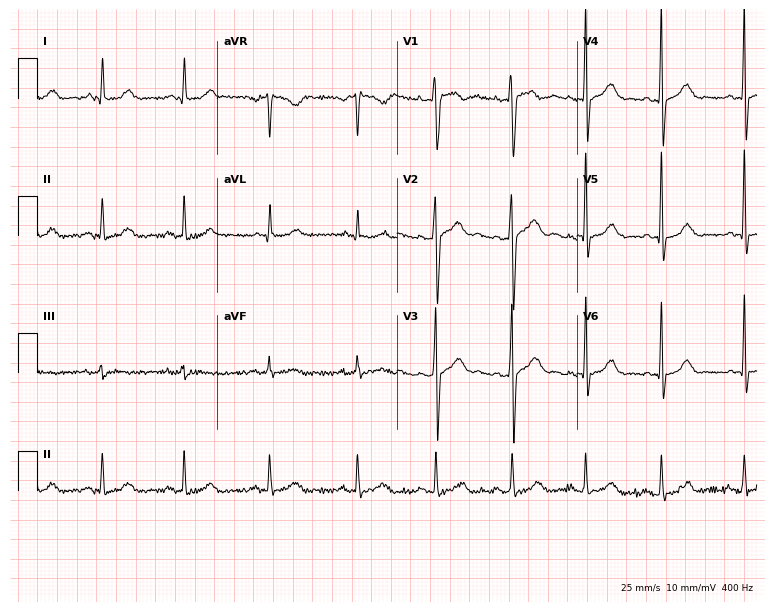
ECG — a 30-year-old male patient. Labelled as a normal ECG.